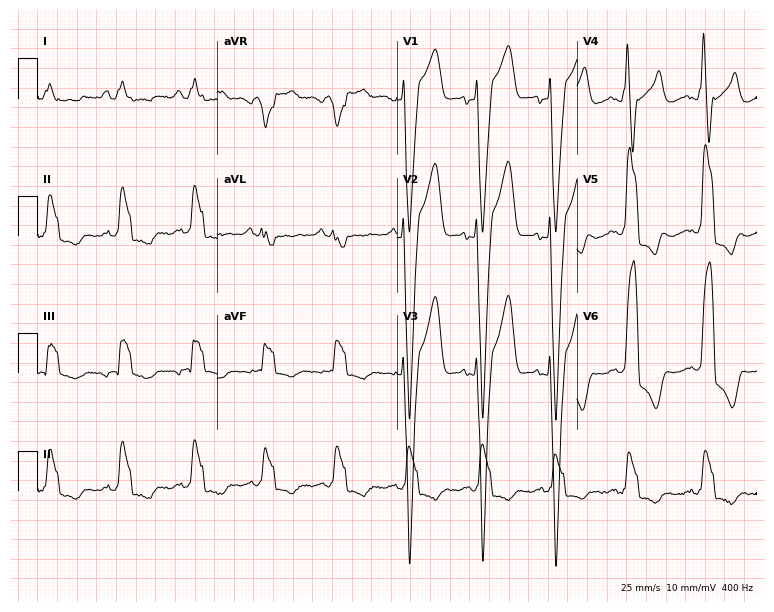
Resting 12-lead electrocardiogram (7.3-second recording at 400 Hz). Patient: a male, 63 years old. The tracing shows left bundle branch block.